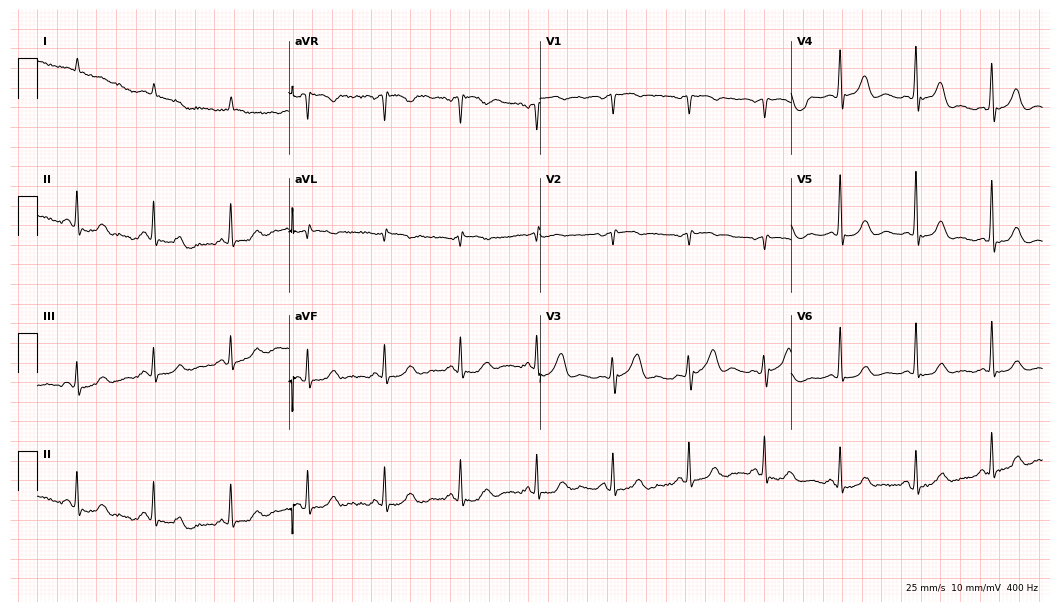
Standard 12-lead ECG recorded from a male patient, 78 years old. None of these six findings is recorded: first-degree AV block, right bundle branch block, left bundle branch block, sinus bradycardia, atrial fibrillation, sinus tachycardia.